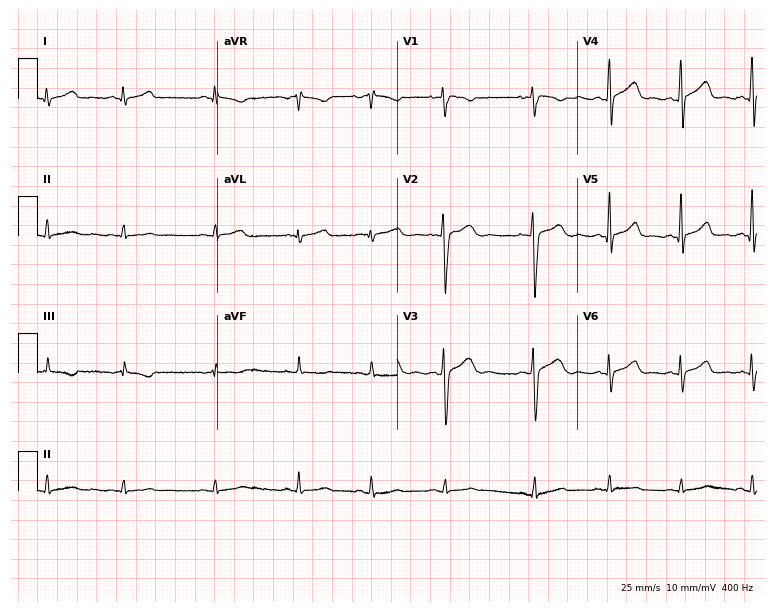
Electrocardiogram, an 18-year-old female. Of the six screened findings (first-degree AV block, right bundle branch block, left bundle branch block, sinus bradycardia, atrial fibrillation, sinus tachycardia), none is recorded. Only these six findings were labelled.